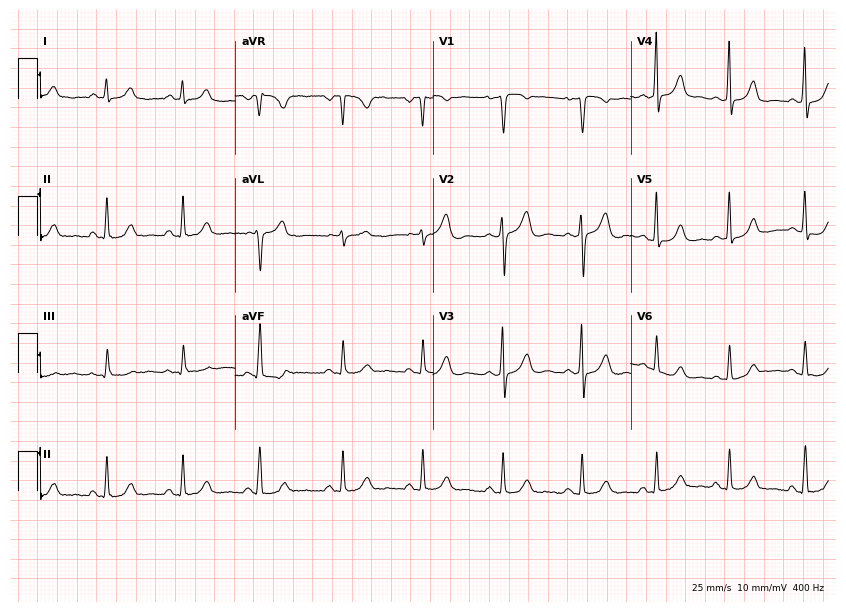
Resting 12-lead electrocardiogram. Patient: a 42-year-old woman. None of these six findings is recorded: first-degree AV block, right bundle branch block, left bundle branch block, sinus bradycardia, atrial fibrillation, sinus tachycardia.